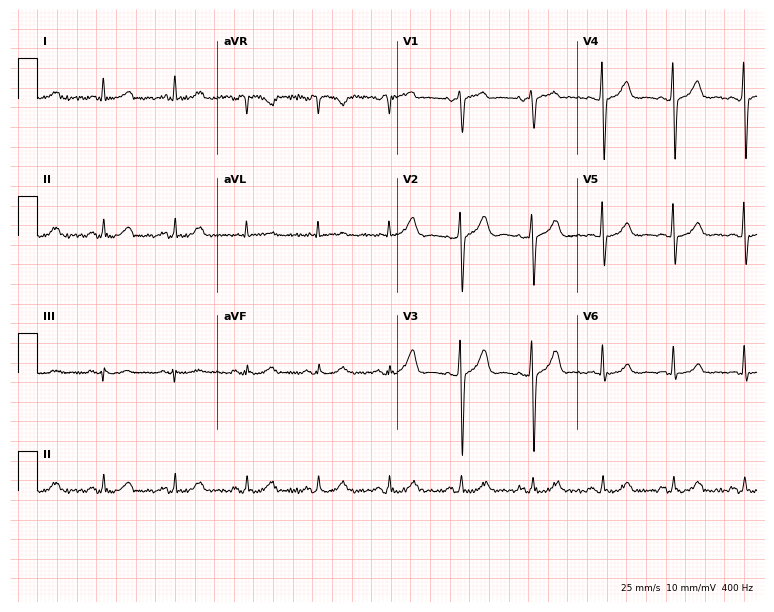
Resting 12-lead electrocardiogram (7.3-second recording at 400 Hz). Patient: a 49-year-old male. Read as a normal ECG.